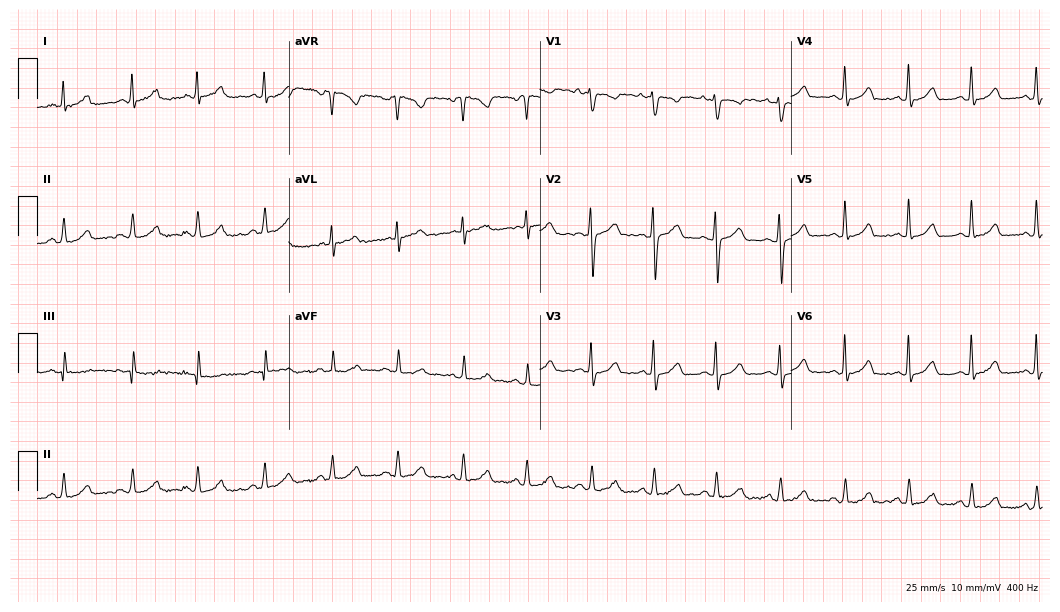
Electrocardiogram, a female, 30 years old. Overall reading on record: normal ECG.